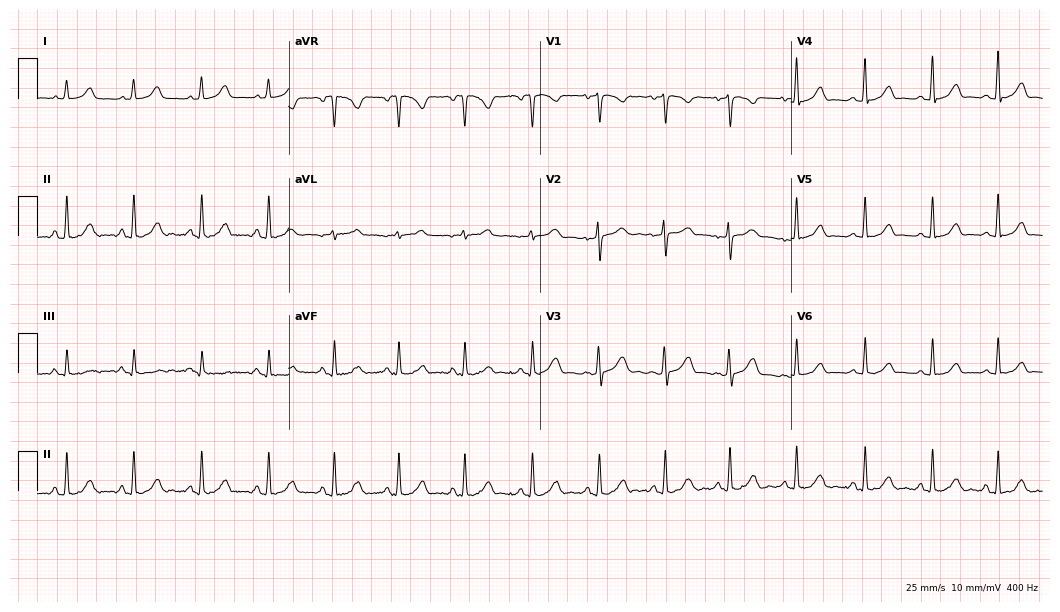
12-lead ECG (10.2-second recording at 400 Hz) from a woman, 30 years old. Labelled as a normal ECG.